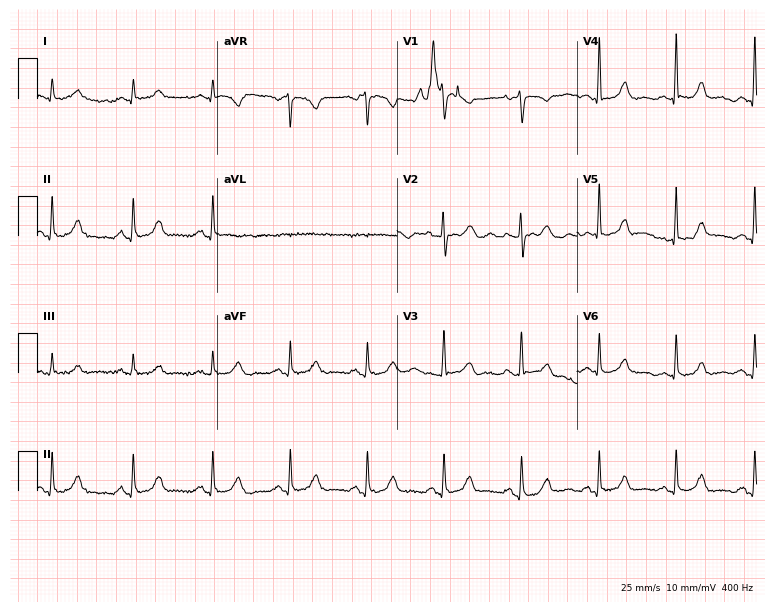
ECG — a male patient, 67 years old. Labelled as a normal ECG.